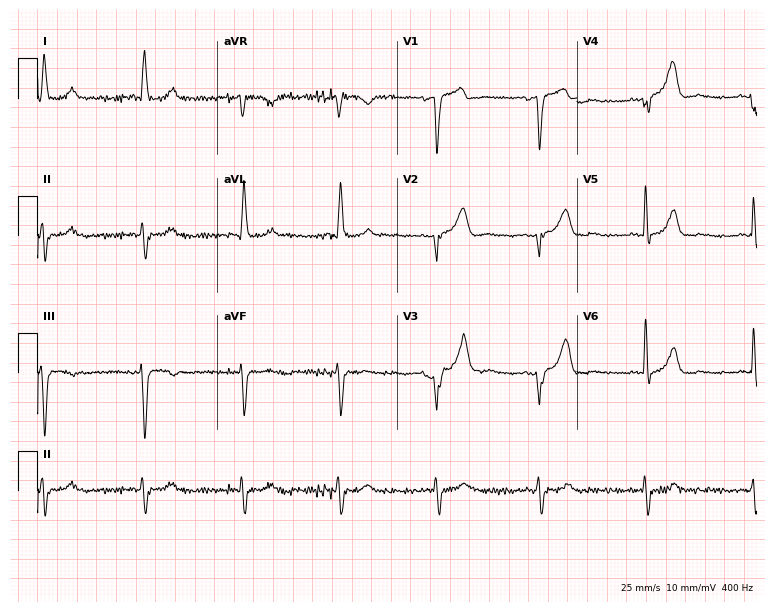
Electrocardiogram, a woman, 79 years old. Of the six screened findings (first-degree AV block, right bundle branch block (RBBB), left bundle branch block (LBBB), sinus bradycardia, atrial fibrillation (AF), sinus tachycardia), none is recorded.